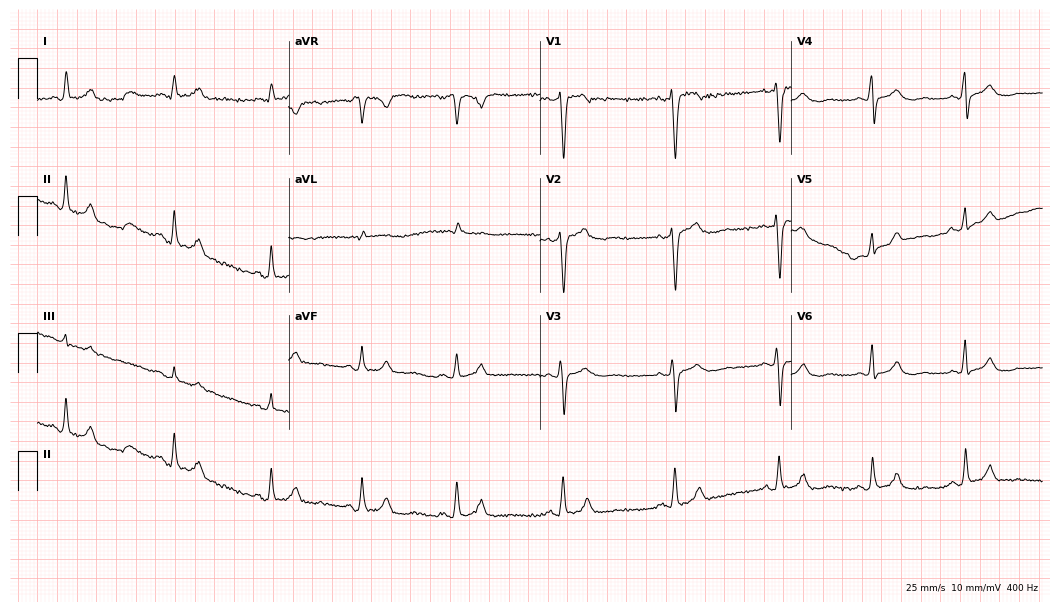
Electrocardiogram, a 51-year-old woman. Overall reading on record: normal ECG.